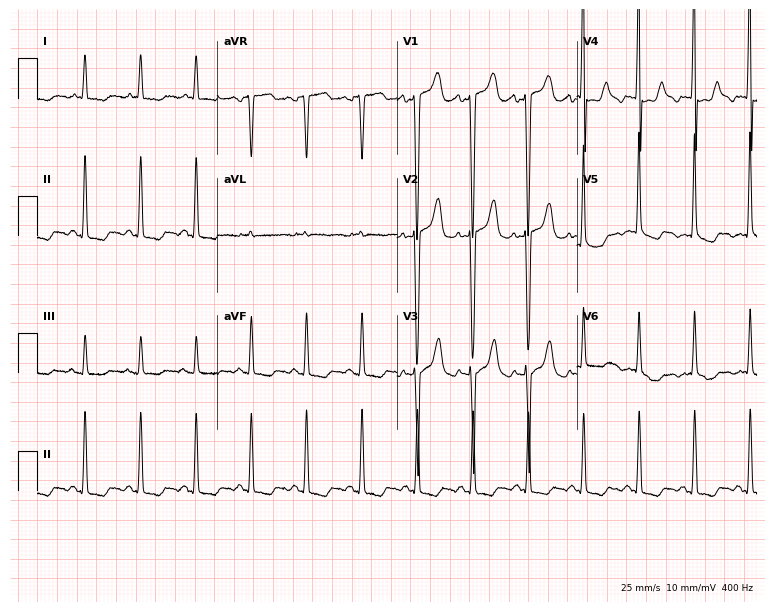
12-lead ECG from a 79-year-old man. Shows sinus tachycardia (a sinus rate of 100 beats per minute or more).